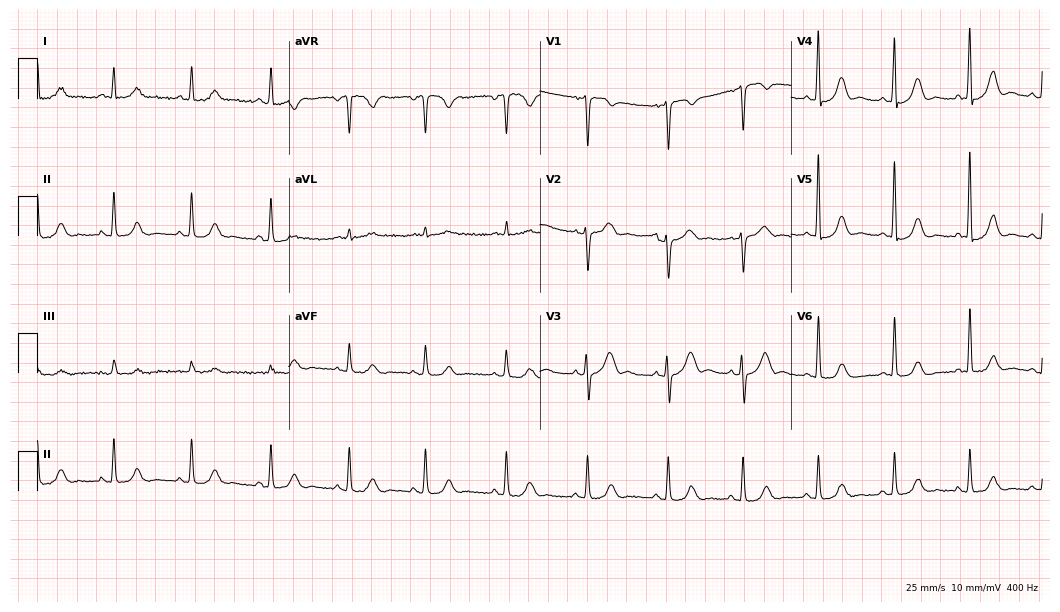
Electrocardiogram, a woman, 69 years old. Overall reading on record: normal ECG.